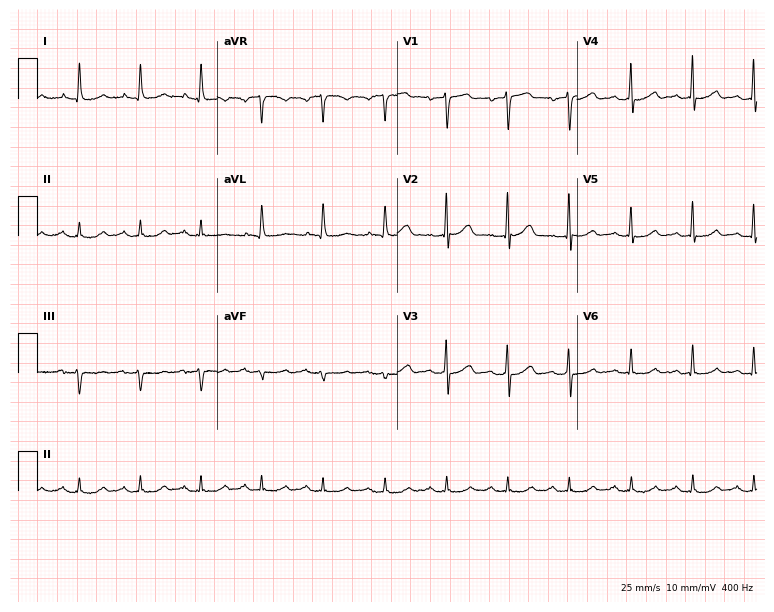
12-lead ECG from a male, 69 years old. Labelled as a normal ECG.